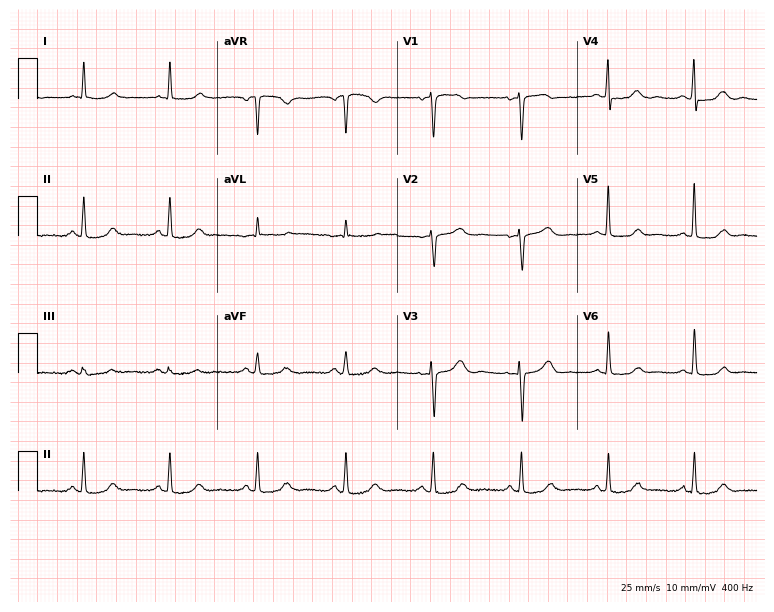
Standard 12-lead ECG recorded from a 55-year-old female. None of these six findings is recorded: first-degree AV block, right bundle branch block, left bundle branch block, sinus bradycardia, atrial fibrillation, sinus tachycardia. Only these six findings were labelled.